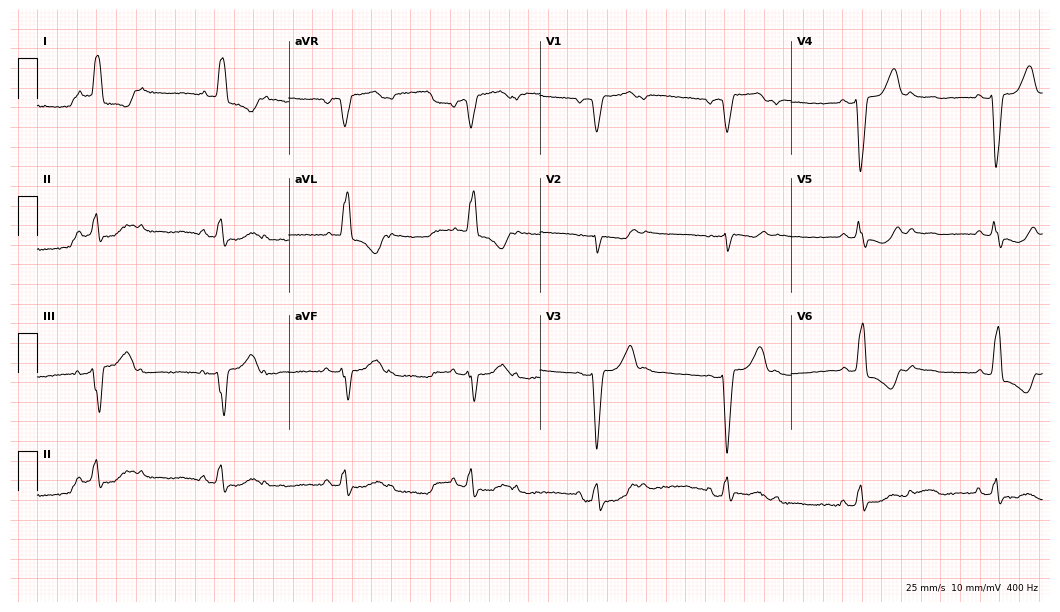
Resting 12-lead electrocardiogram (10.2-second recording at 400 Hz). Patient: an 83-year-old female. The tracing shows left bundle branch block, sinus bradycardia (a sinus rate of 50 beats per minute or less).